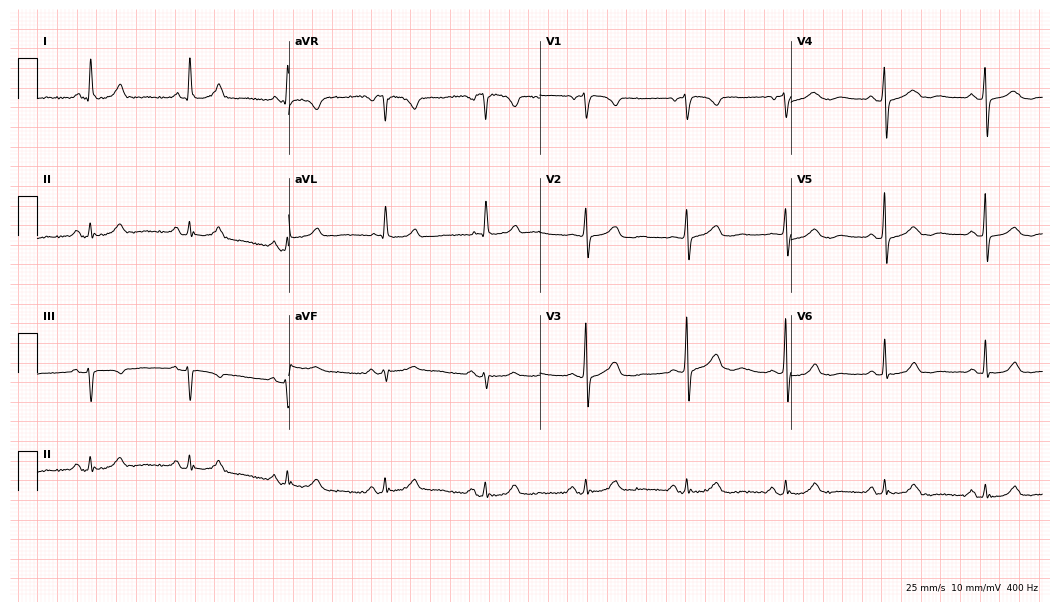
12-lead ECG from a 67-year-old female patient. Screened for six findings — first-degree AV block, right bundle branch block (RBBB), left bundle branch block (LBBB), sinus bradycardia, atrial fibrillation (AF), sinus tachycardia — none is recorded. Only these six findings were labelled.